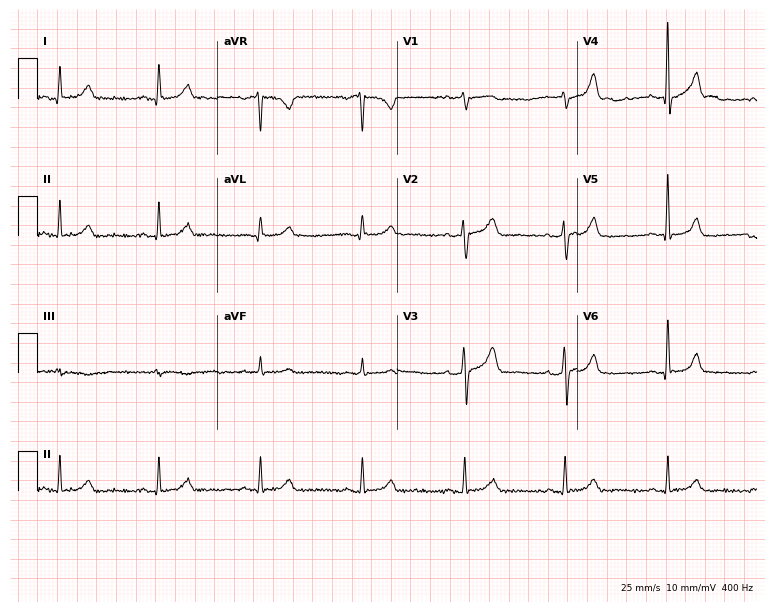
Standard 12-lead ECG recorded from a male patient, 45 years old (7.3-second recording at 400 Hz). Read as a normal ECG.